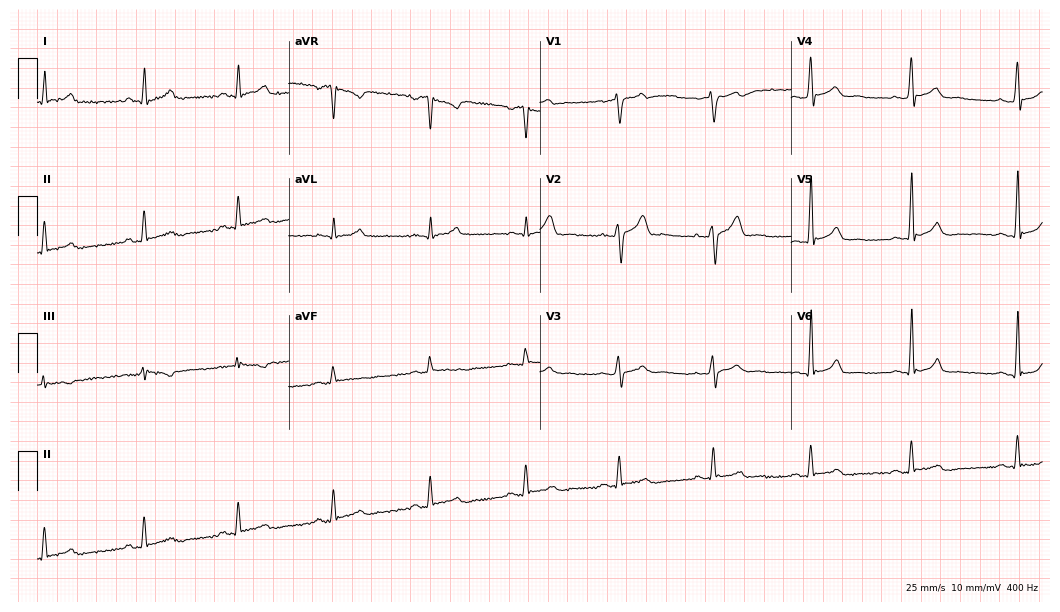
Standard 12-lead ECG recorded from a male, 39 years old (10.2-second recording at 400 Hz). Read as a normal ECG.